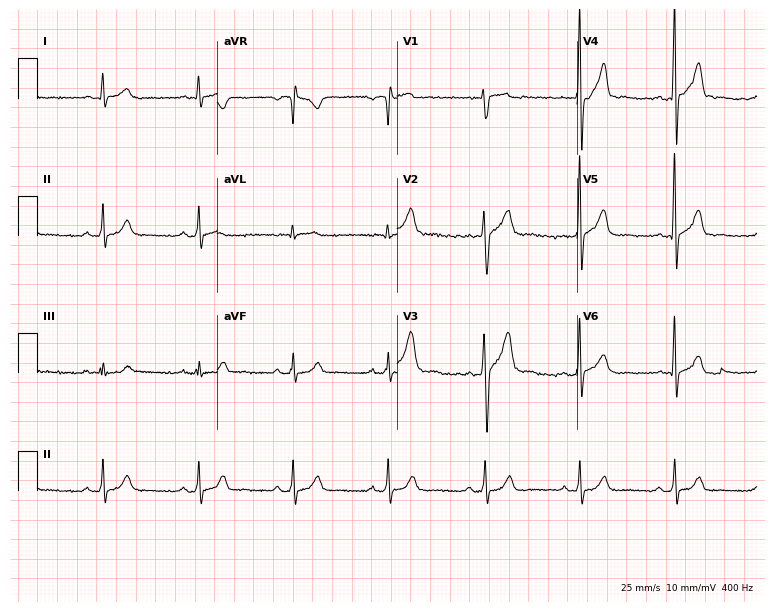
12-lead ECG (7.3-second recording at 400 Hz) from a 45-year-old male patient. Labelled as a normal ECG.